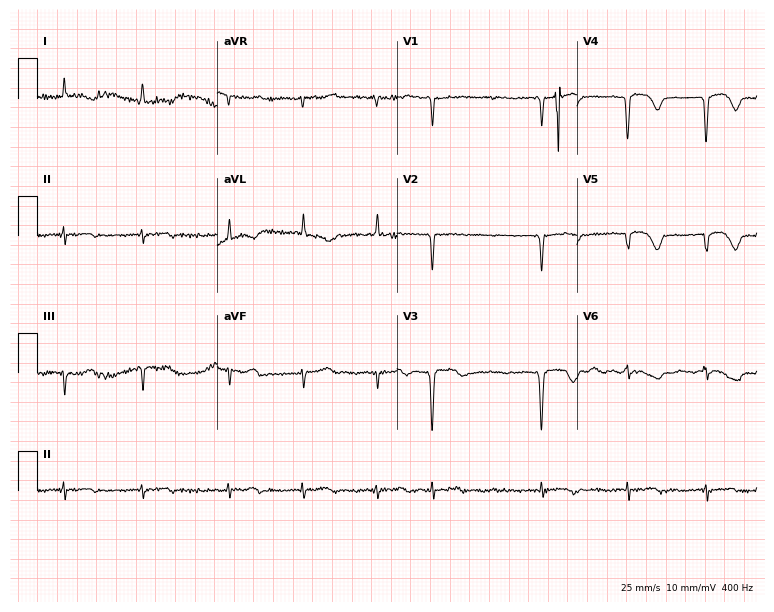
12-lead ECG from a 79-year-old female patient. Shows atrial fibrillation (AF).